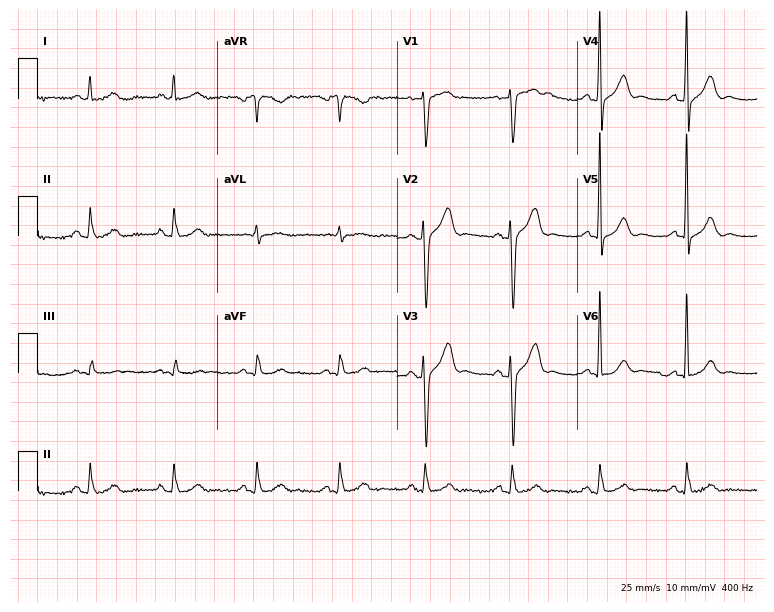
Resting 12-lead electrocardiogram. Patient: a 76-year-old male. None of these six findings is recorded: first-degree AV block, right bundle branch block, left bundle branch block, sinus bradycardia, atrial fibrillation, sinus tachycardia.